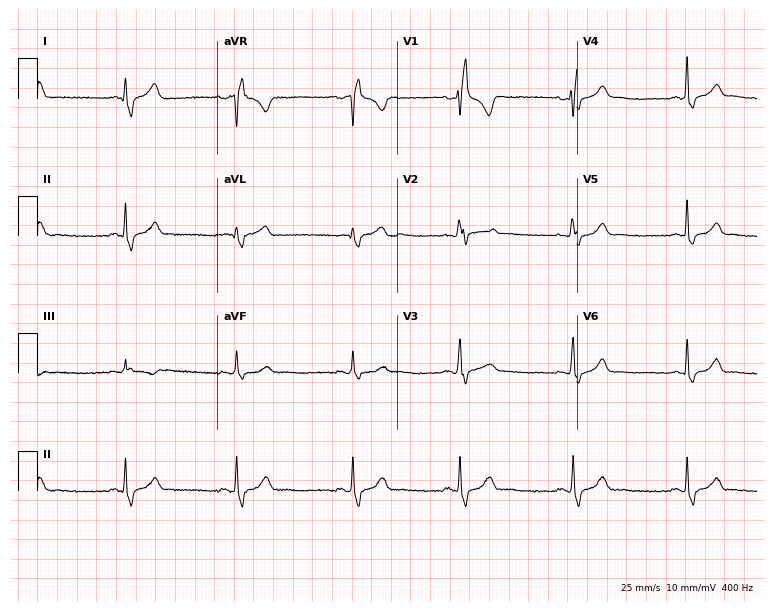
Electrocardiogram (7.3-second recording at 400 Hz), a woman, 32 years old. Of the six screened findings (first-degree AV block, right bundle branch block (RBBB), left bundle branch block (LBBB), sinus bradycardia, atrial fibrillation (AF), sinus tachycardia), none is recorded. Only these six findings were labelled.